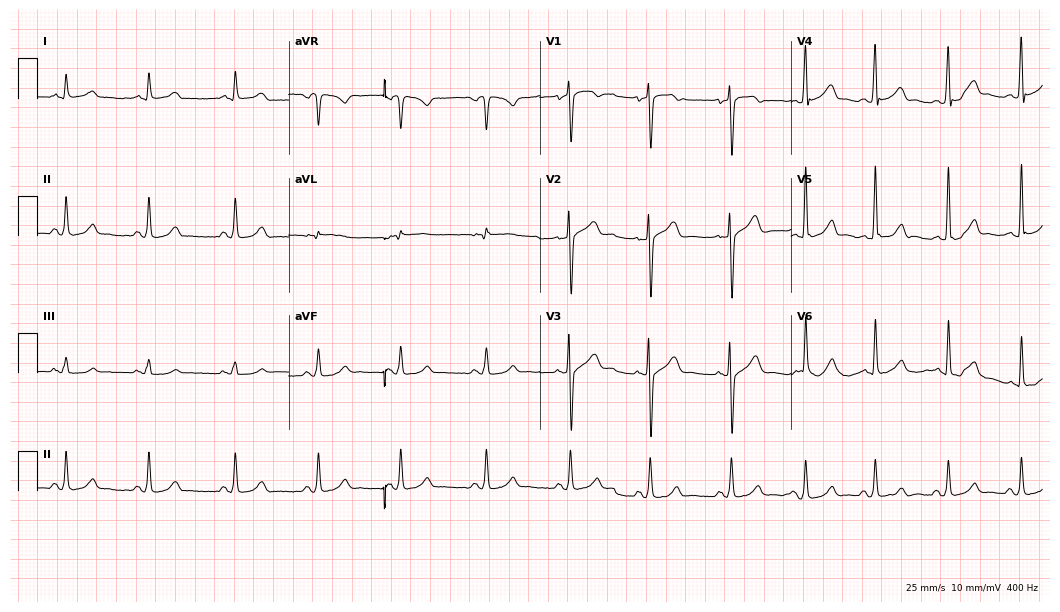
Resting 12-lead electrocardiogram (10.2-second recording at 400 Hz). Patient: a 33-year-old female. Read as a normal ECG.